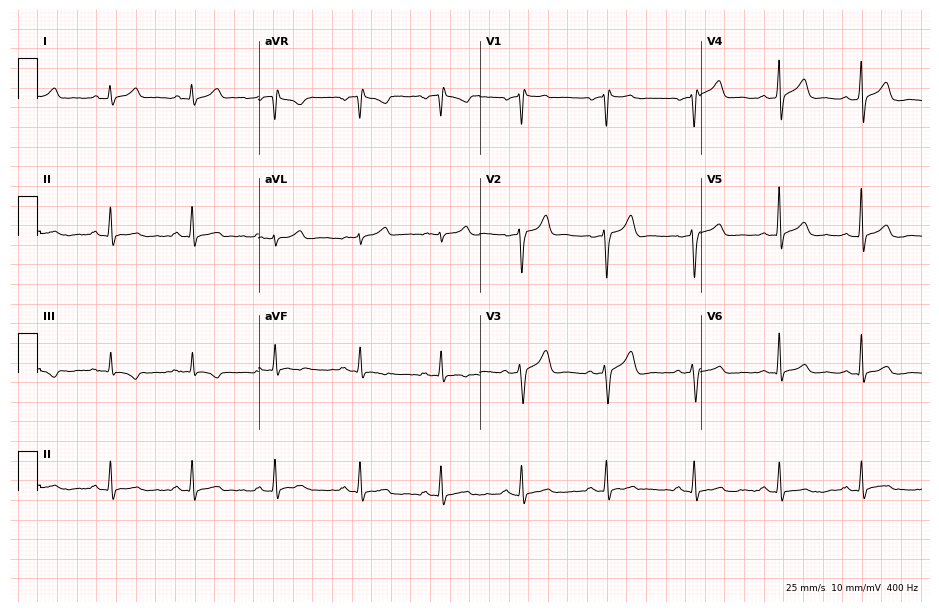
Standard 12-lead ECG recorded from a man, 49 years old (9-second recording at 400 Hz). Read as a normal ECG.